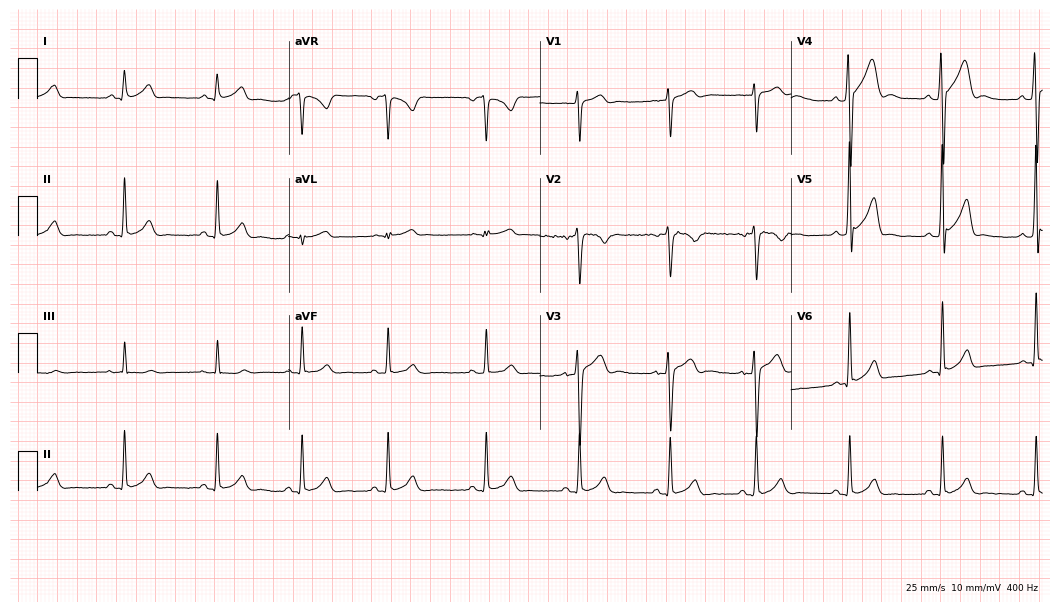
ECG — a male patient, 18 years old. Labelled as a normal ECG.